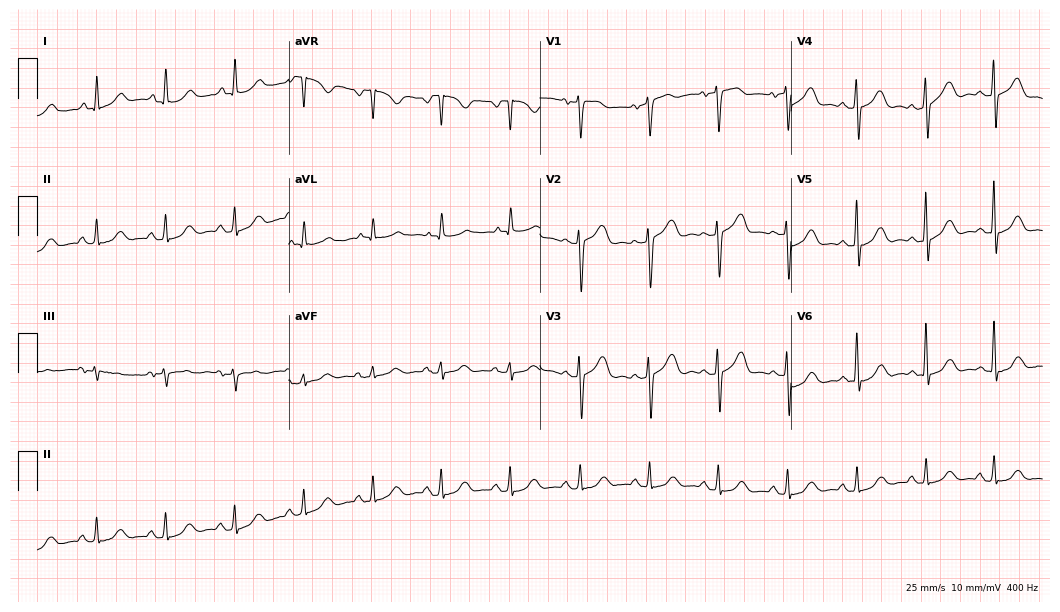
Standard 12-lead ECG recorded from a 74-year-old male patient. Read as a normal ECG.